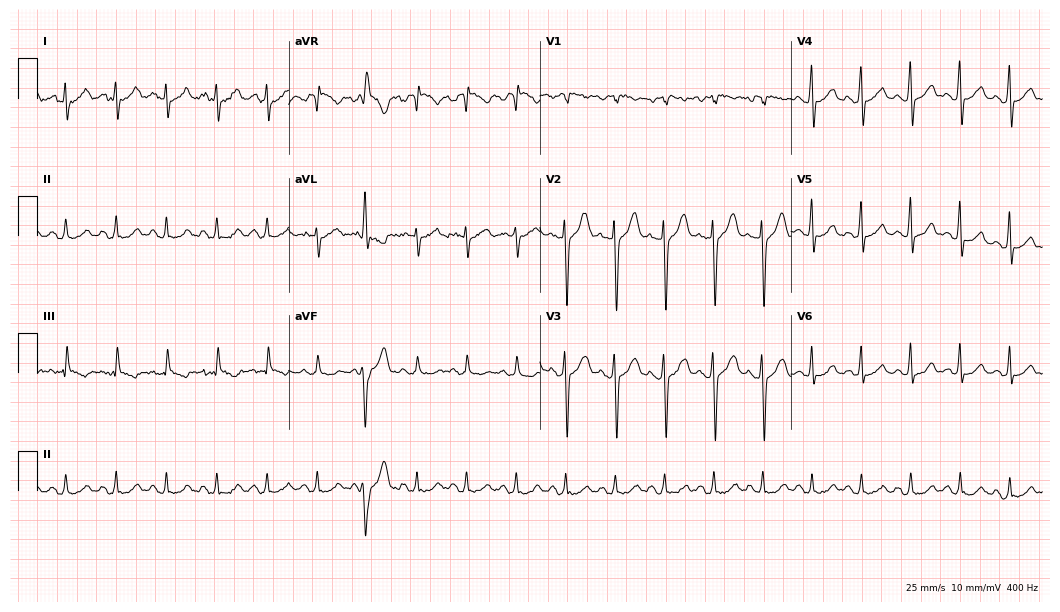
ECG (10.2-second recording at 400 Hz) — a male, 26 years old. Findings include sinus tachycardia (a sinus rate of 100 beats per minute or more).